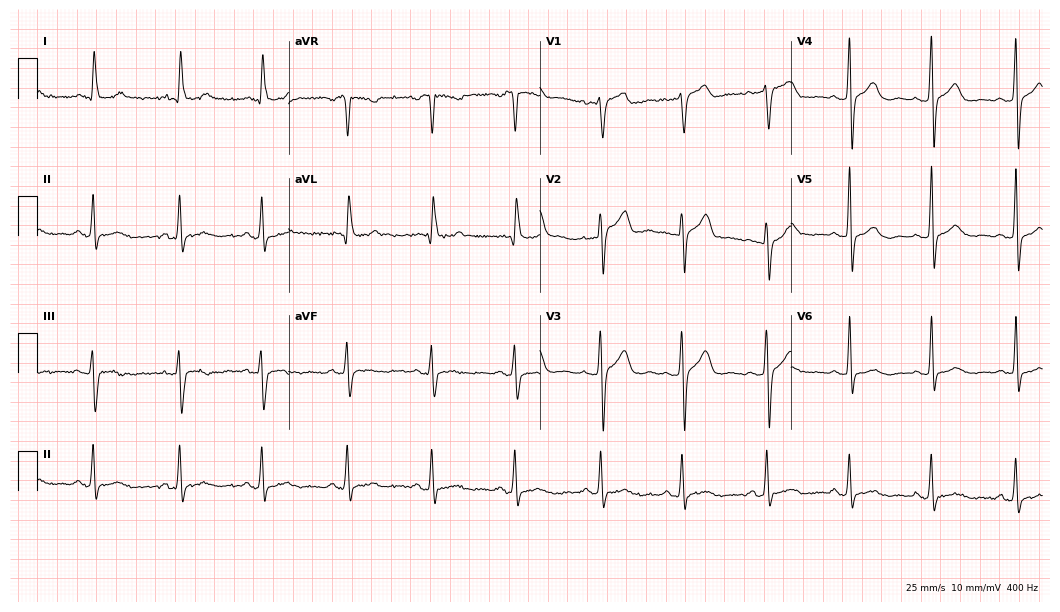
Electrocardiogram, a 66-year-old female. Overall reading on record: normal ECG.